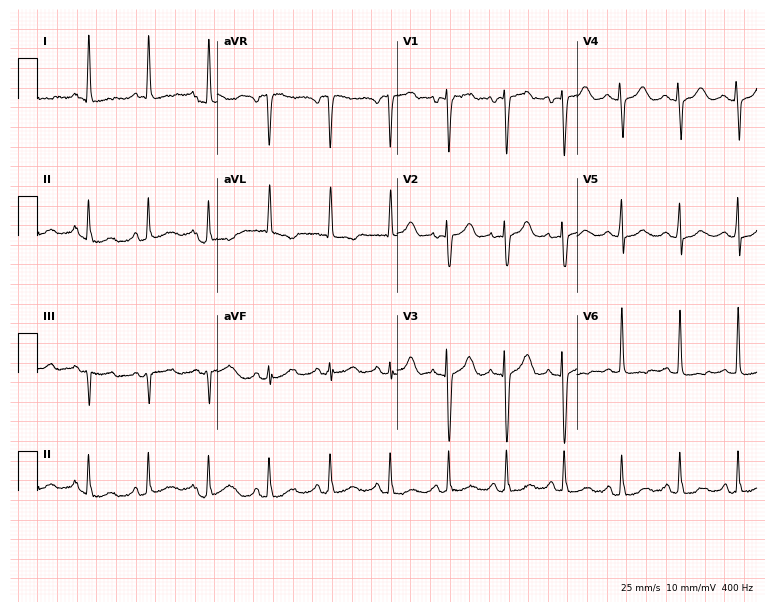
Electrocardiogram (7.3-second recording at 400 Hz), a female, 46 years old. Of the six screened findings (first-degree AV block, right bundle branch block, left bundle branch block, sinus bradycardia, atrial fibrillation, sinus tachycardia), none is recorded.